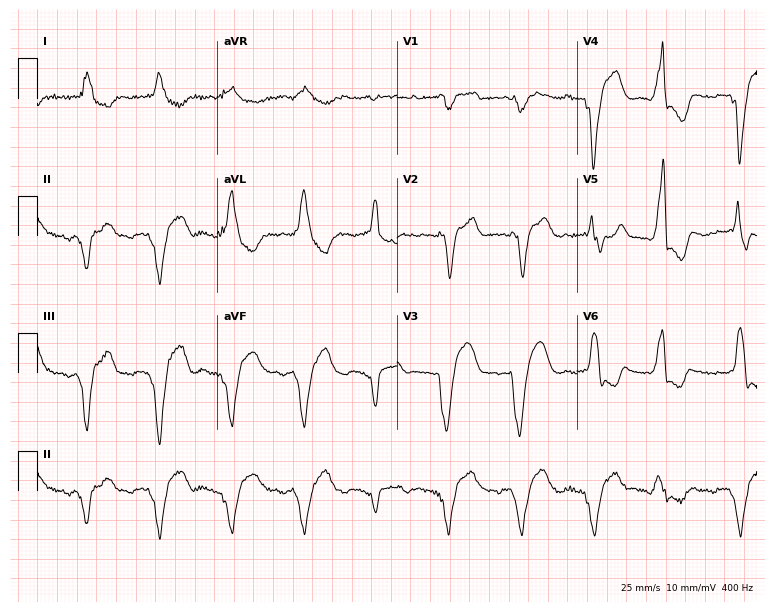
Standard 12-lead ECG recorded from a male, 50 years old. The tracing shows right bundle branch block.